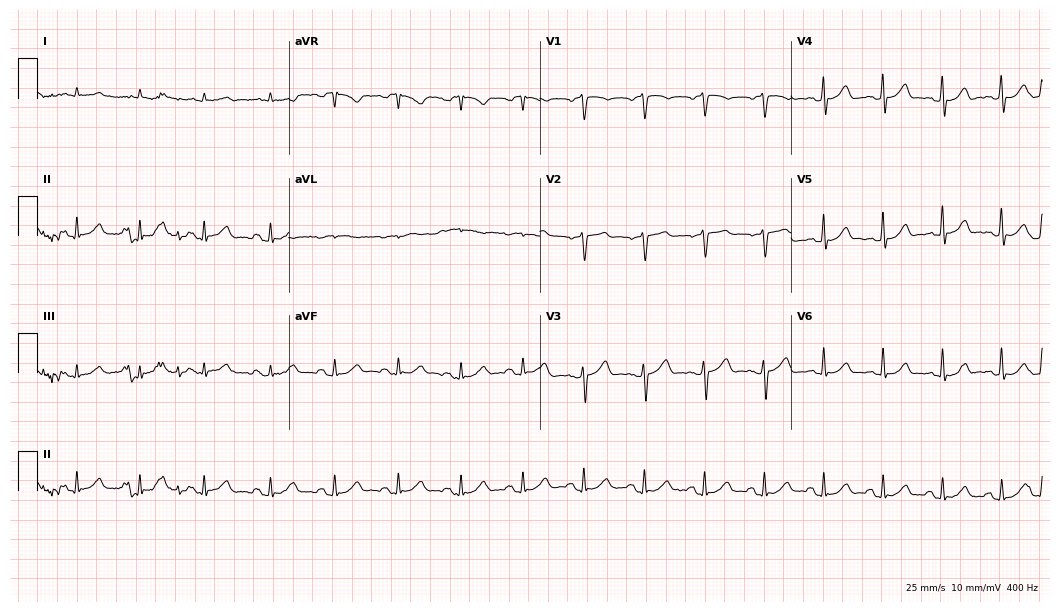
Resting 12-lead electrocardiogram. Patient: a 73-year-old male. None of these six findings is recorded: first-degree AV block, right bundle branch block, left bundle branch block, sinus bradycardia, atrial fibrillation, sinus tachycardia.